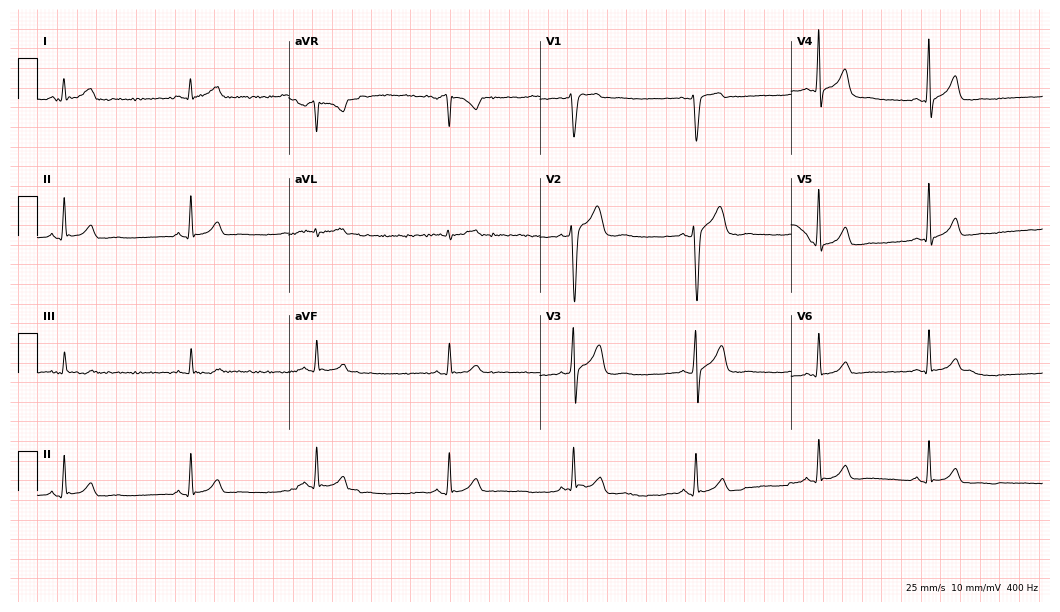
Standard 12-lead ECG recorded from a 32-year-old man. Read as a normal ECG.